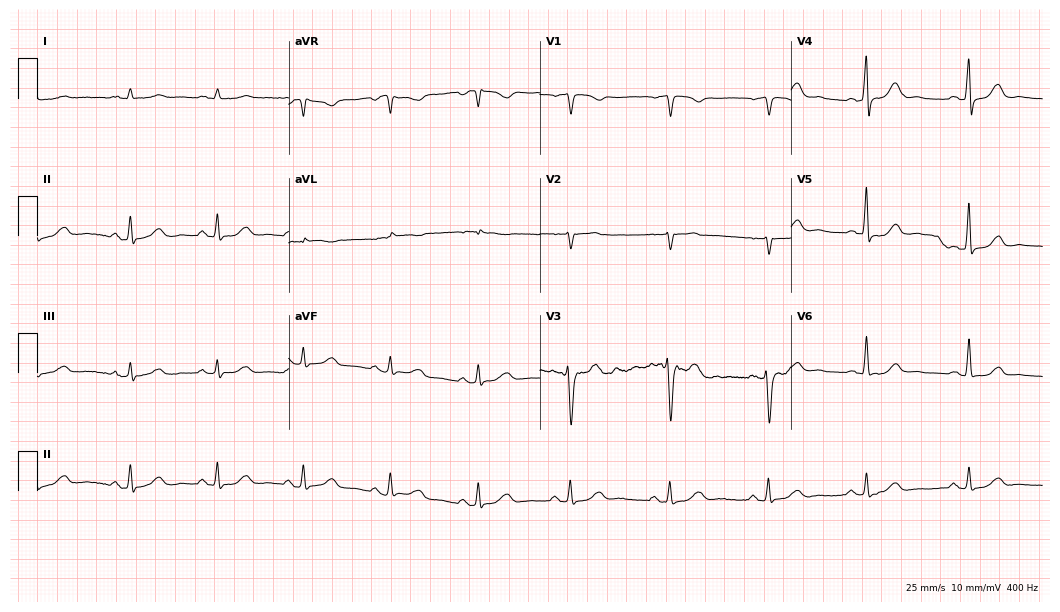
ECG — a woman, 68 years old. Labelled as a normal ECG.